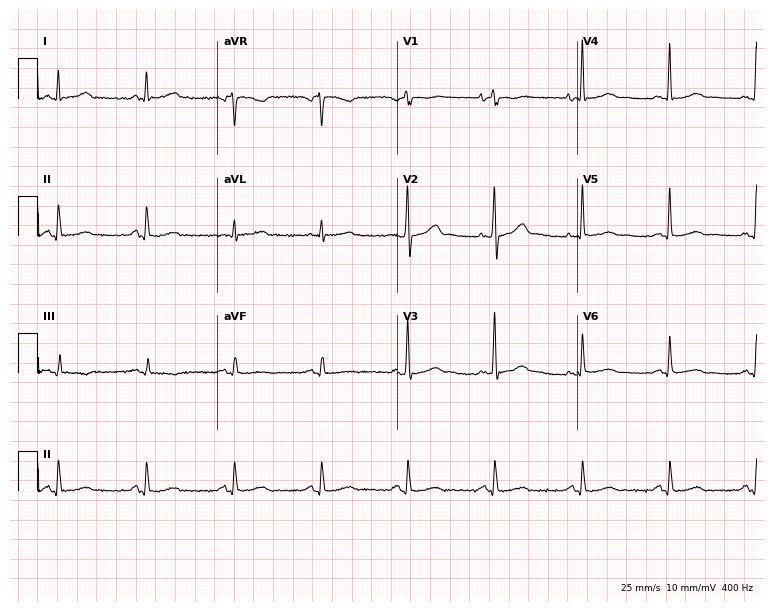
Resting 12-lead electrocardiogram. Patient: a 74-year-old male. Read as a normal ECG.